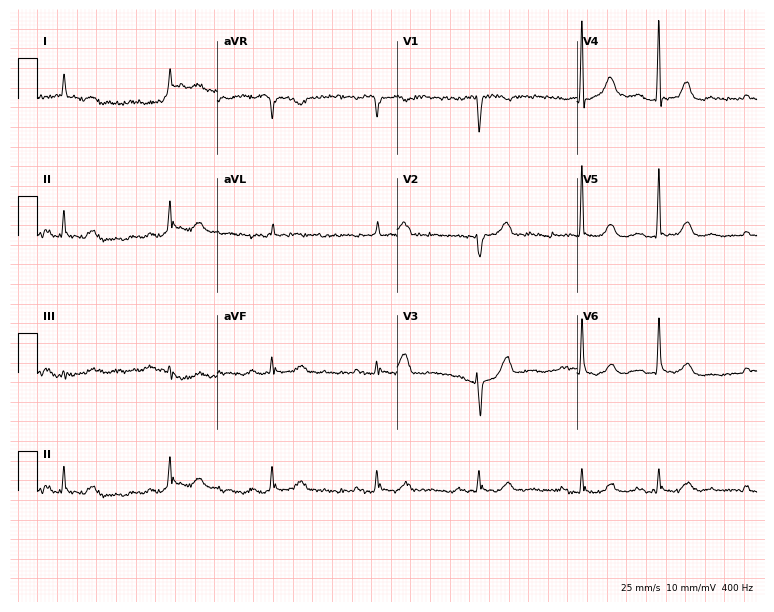
Resting 12-lead electrocardiogram. Patient: a 74-year-old male. Read as a normal ECG.